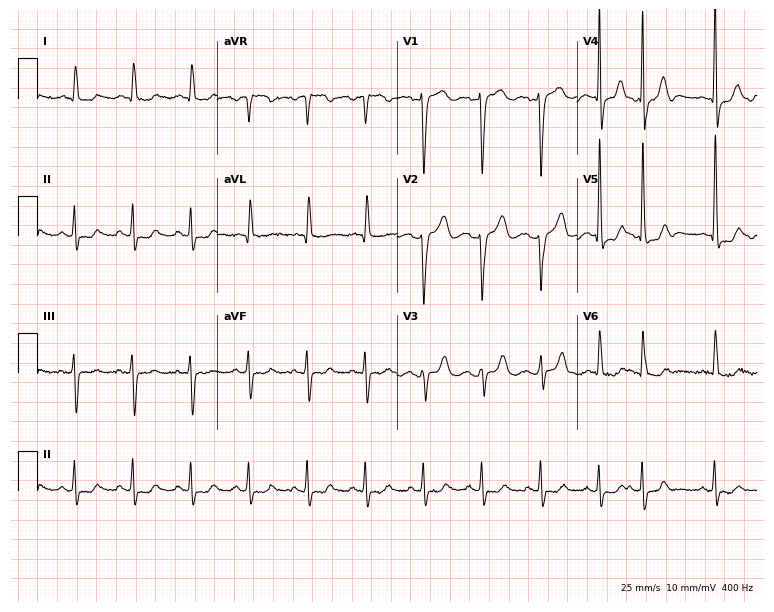
Standard 12-lead ECG recorded from a male patient, 82 years old (7.3-second recording at 400 Hz). The tracing shows sinus tachycardia (a sinus rate of 100 beats per minute or more).